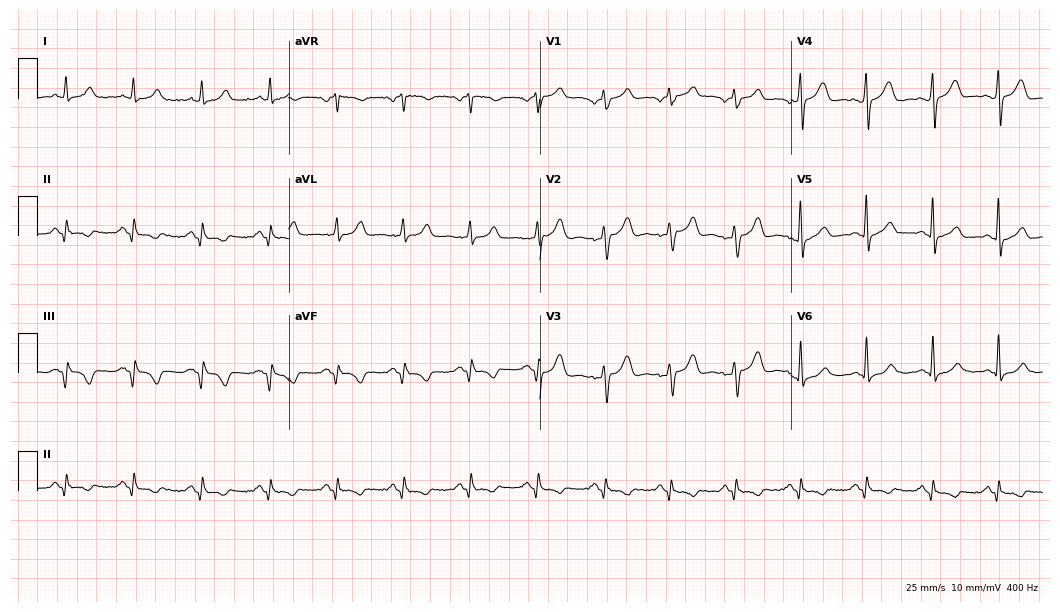
12-lead ECG from a male patient, 53 years old. No first-degree AV block, right bundle branch block, left bundle branch block, sinus bradycardia, atrial fibrillation or sinus tachycardia recorded for this tracing.